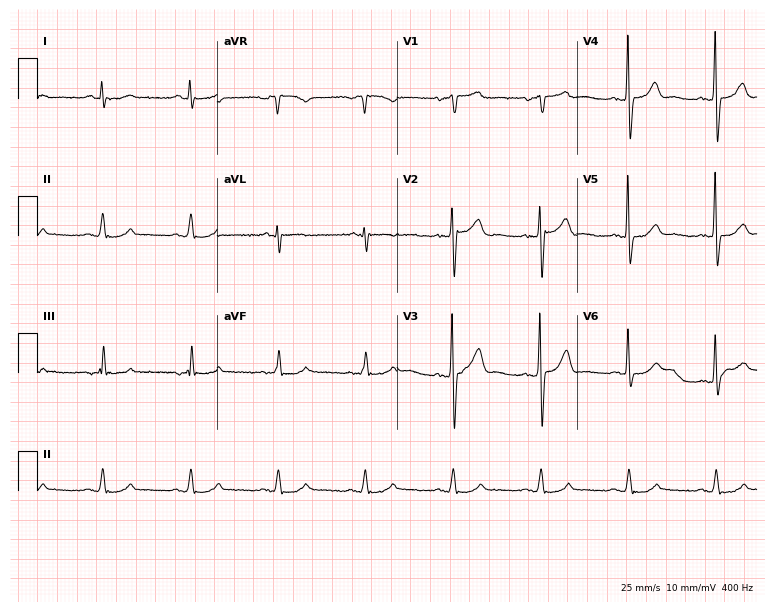
Standard 12-lead ECG recorded from a male, 61 years old. Read as a normal ECG.